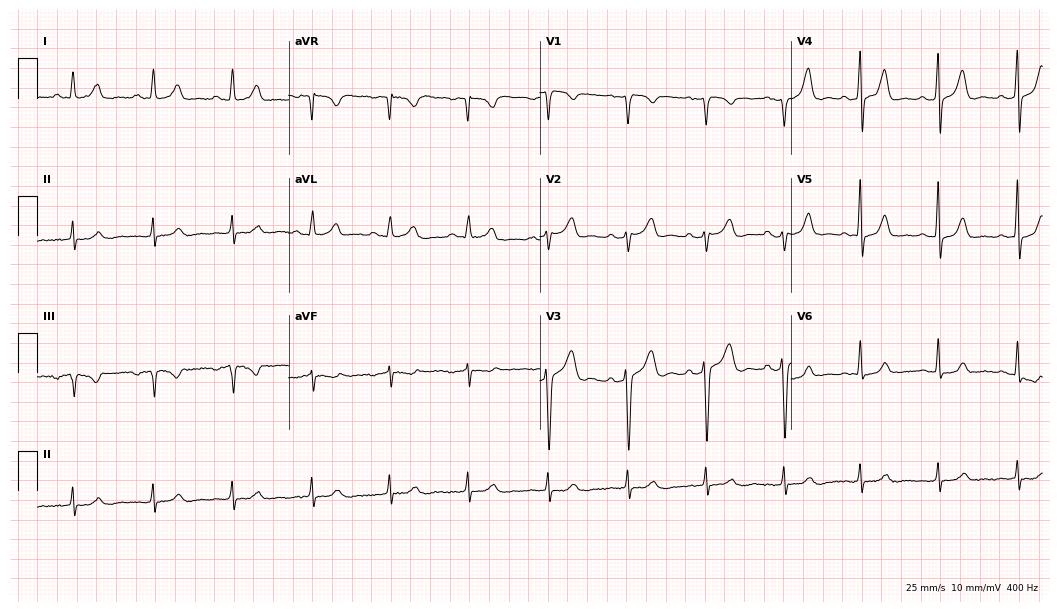
12-lead ECG from a male patient, 55 years old. Recorded interpretation: within normal limits.